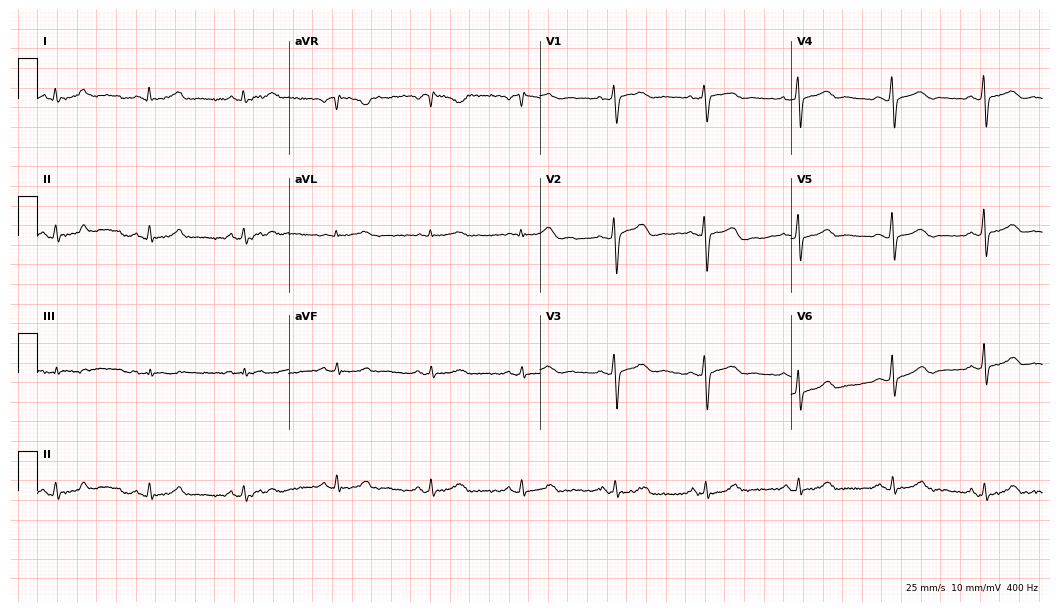
Resting 12-lead electrocardiogram (10.2-second recording at 400 Hz). Patient: a 50-year-old female. Read as a normal ECG.